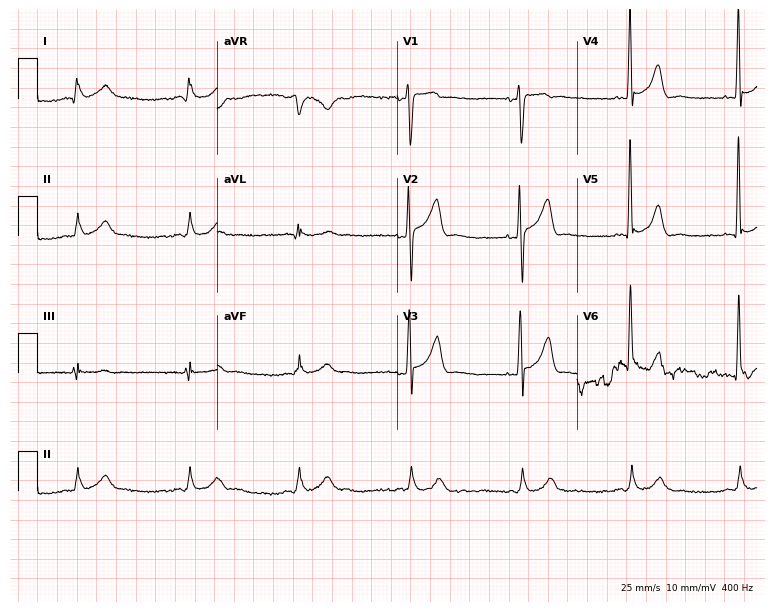
ECG (7.3-second recording at 400 Hz) — a male patient, 65 years old. Screened for six findings — first-degree AV block, right bundle branch block (RBBB), left bundle branch block (LBBB), sinus bradycardia, atrial fibrillation (AF), sinus tachycardia — none is recorded.